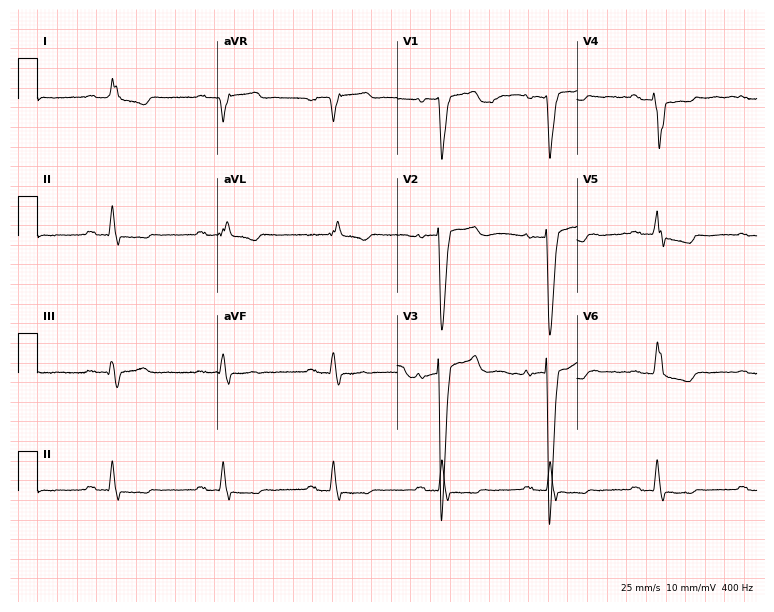
12-lead ECG from a male, 72 years old (7.3-second recording at 400 Hz). Shows first-degree AV block, left bundle branch block.